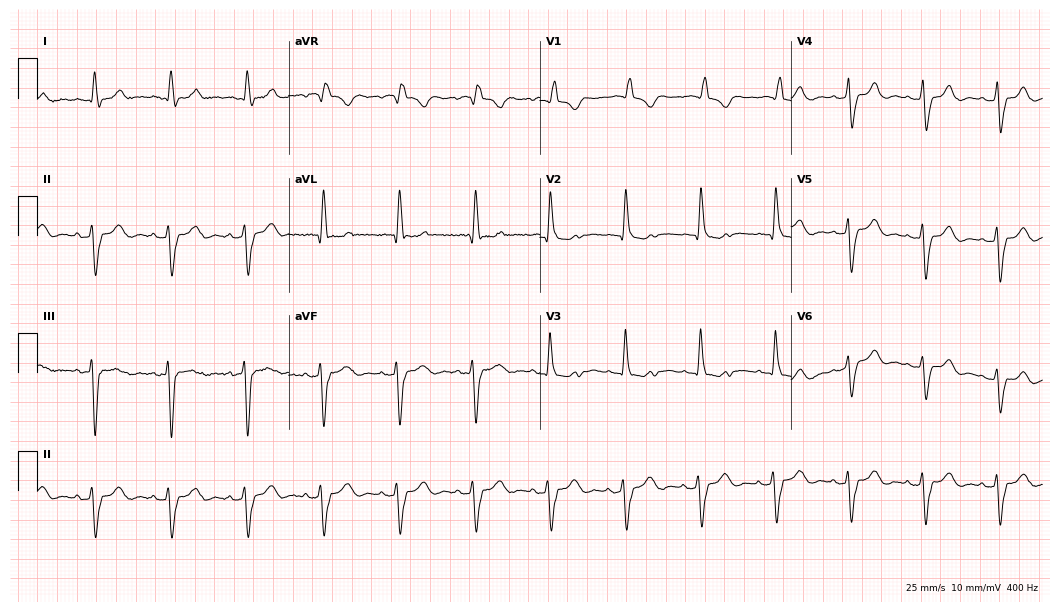
Standard 12-lead ECG recorded from a 79-year-old female patient (10.2-second recording at 400 Hz). The tracing shows right bundle branch block (RBBB).